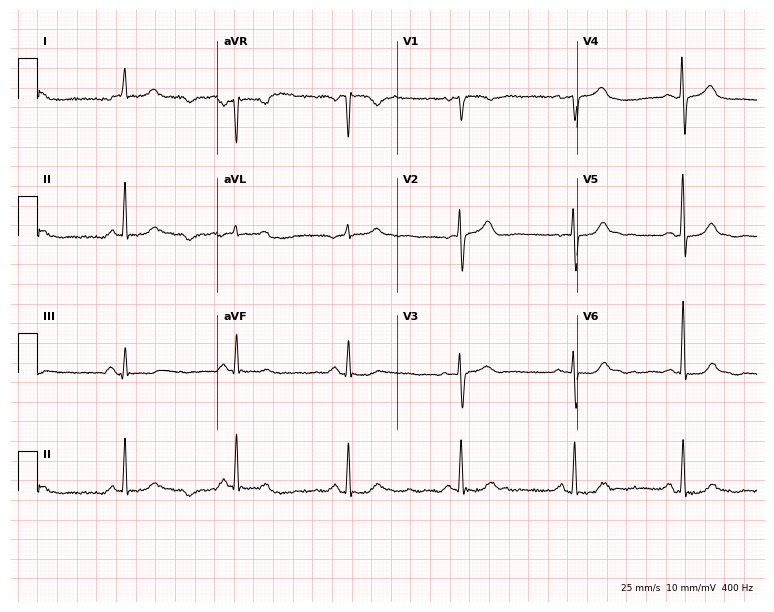
12-lead ECG (7.3-second recording at 400 Hz) from a female patient, 69 years old. Screened for six findings — first-degree AV block, right bundle branch block, left bundle branch block, sinus bradycardia, atrial fibrillation, sinus tachycardia — none is recorded. Only these six findings were labelled.